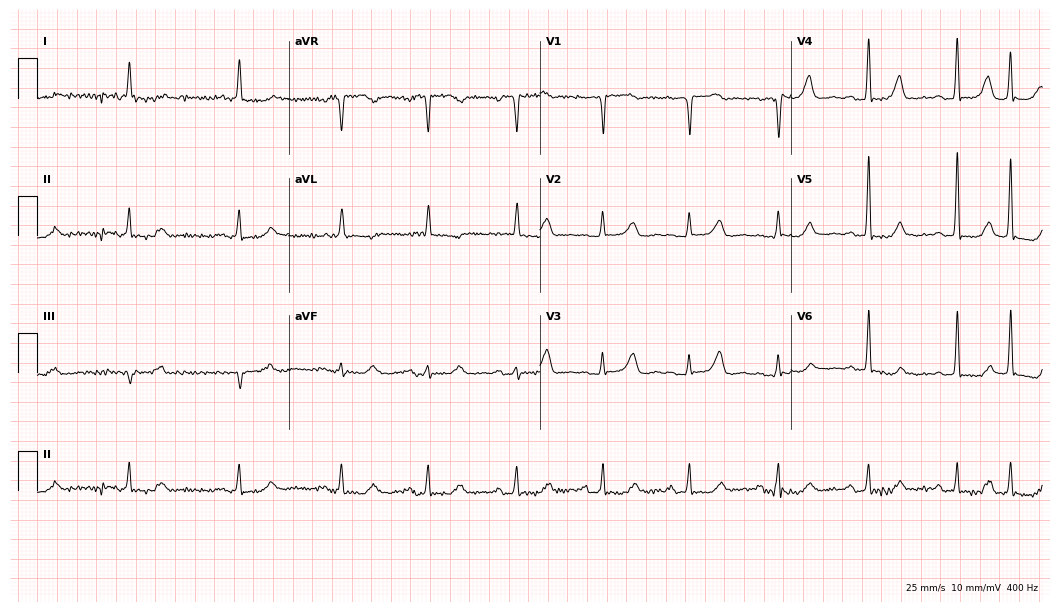
ECG — a female, 81 years old. Screened for six findings — first-degree AV block, right bundle branch block, left bundle branch block, sinus bradycardia, atrial fibrillation, sinus tachycardia — none is recorded.